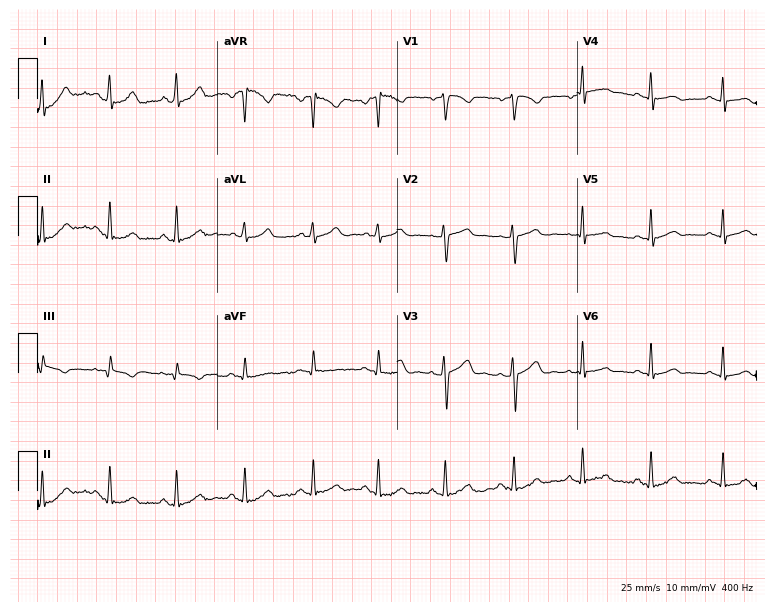
Electrocardiogram (7.3-second recording at 400 Hz), a 24-year-old female. Of the six screened findings (first-degree AV block, right bundle branch block (RBBB), left bundle branch block (LBBB), sinus bradycardia, atrial fibrillation (AF), sinus tachycardia), none is recorded. Only these six findings were labelled.